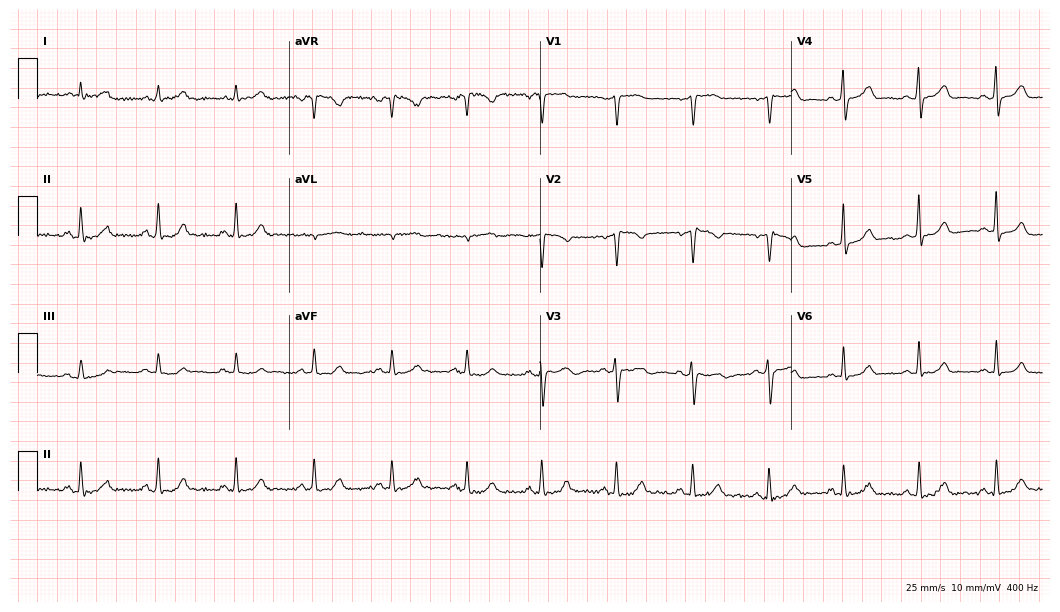
12-lead ECG from a 50-year-old woman. Screened for six findings — first-degree AV block, right bundle branch block, left bundle branch block, sinus bradycardia, atrial fibrillation, sinus tachycardia — none is recorded.